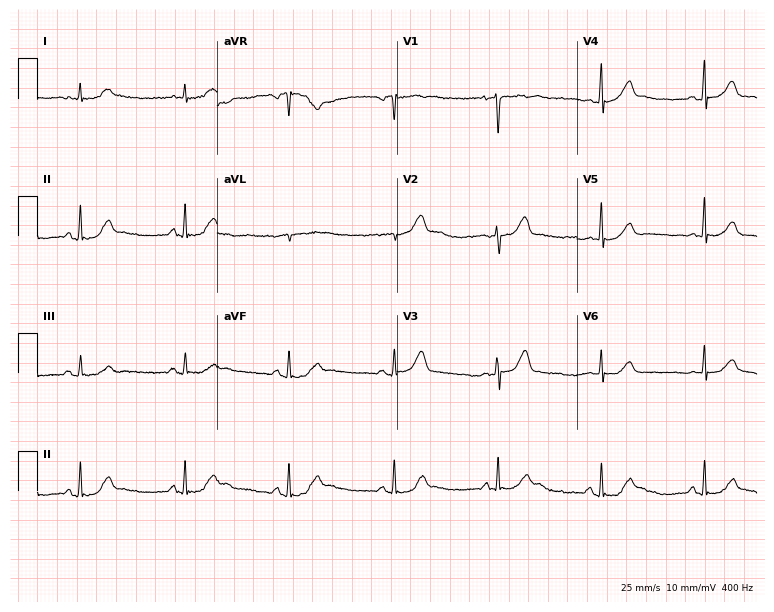
12-lead ECG from a male, 63 years old. No first-degree AV block, right bundle branch block (RBBB), left bundle branch block (LBBB), sinus bradycardia, atrial fibrillation (AF) or sinus tachycardia recorded for this tracing.